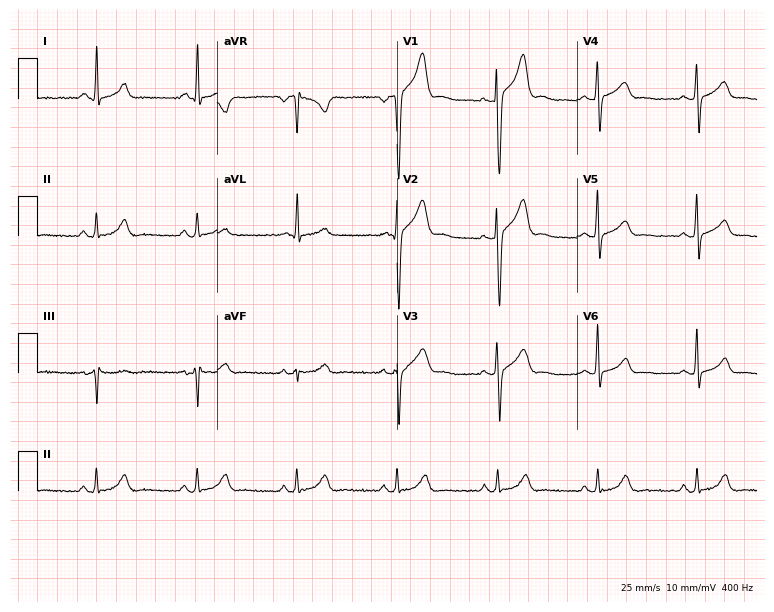
Resting 12-lead electrocardiogram (7.3-second recording at 400 Hz). Patient: a 30-year-old male. None of these six findings is recorded: first-degree AV block, right bundle branch block (RBBB), left bundle branch block (LBBB), sinus bradycardia, atrial fibrillation (AF), sinus tachycardia.